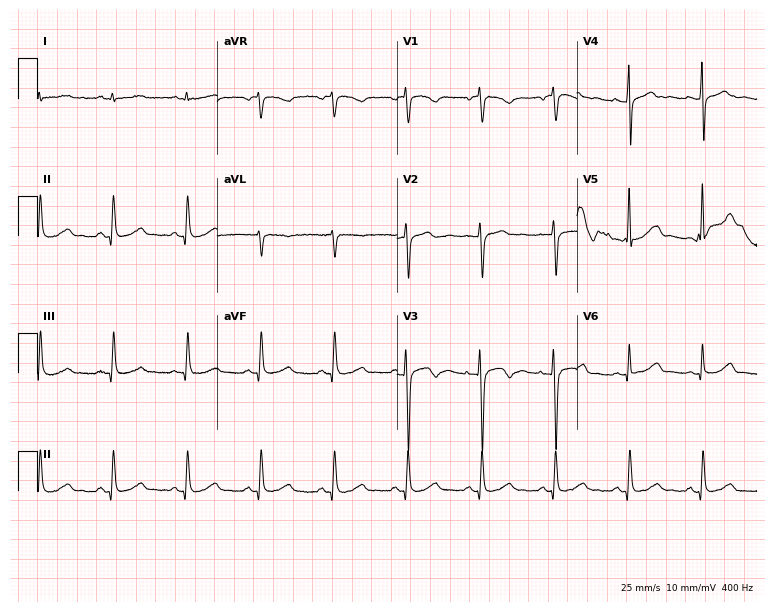
ECG — a male patient, 45 years old. Labelled as a normal ECG.